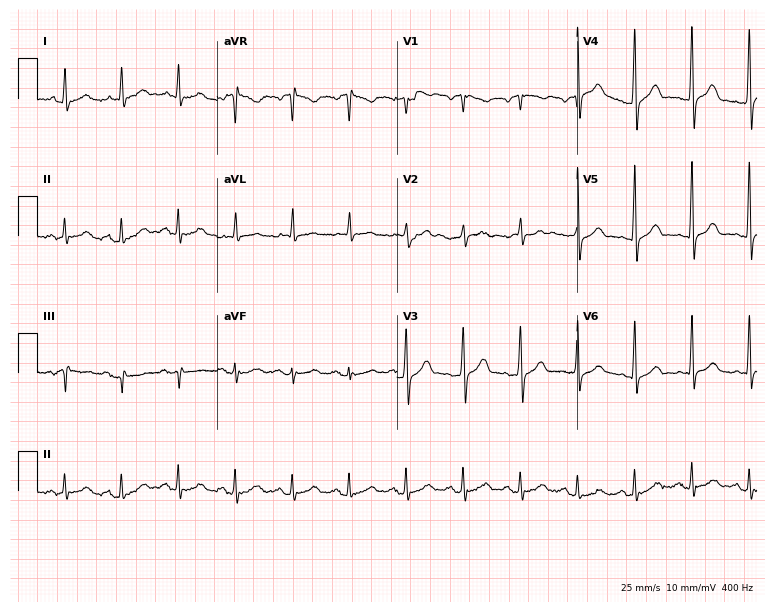
ECG (7.3-second recording at 400 Hz) — a 63-year-old male. Findings include sinus tachycardia (a sinus rate of 100 beats per minute or more).